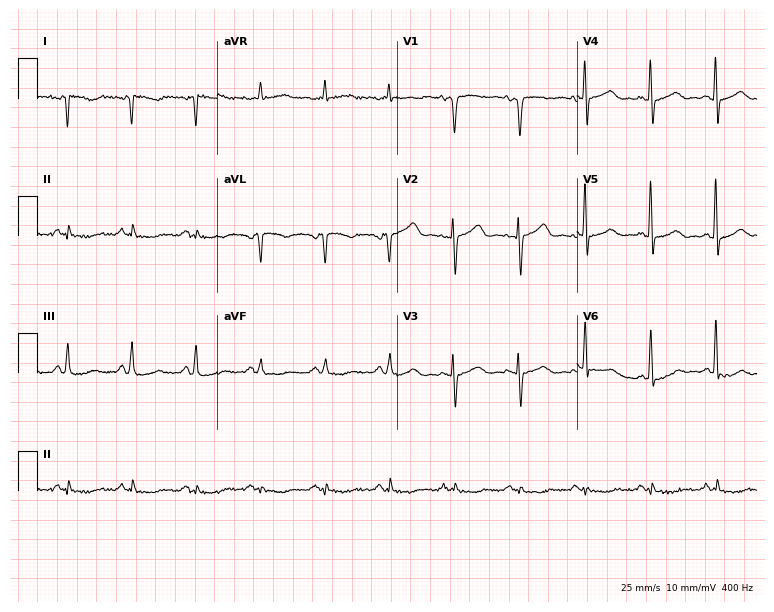
12-lead ECG from a 70-year-old female. No first-degree AV block, right bundle branch block, left bundle branch block, sinus bradycardia, atrial fibrillation or sinus tachycardia recorded for this tracing.